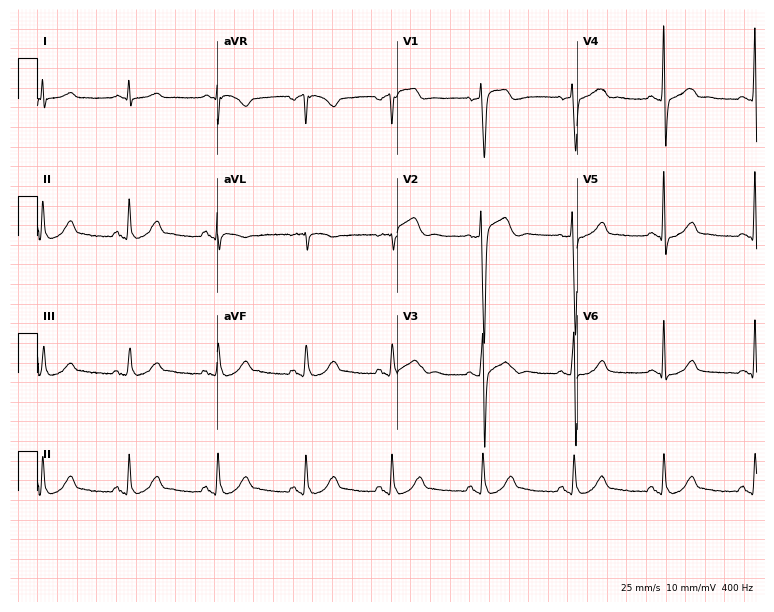
Standard 12-lead ECG recorded from a 42-year-old man. None of these six findings is recorded: first-degree AV block, right bundle branch block, left bundle branch block, sinus bradycardia, atrial fibrillation, sinus tachycardia.